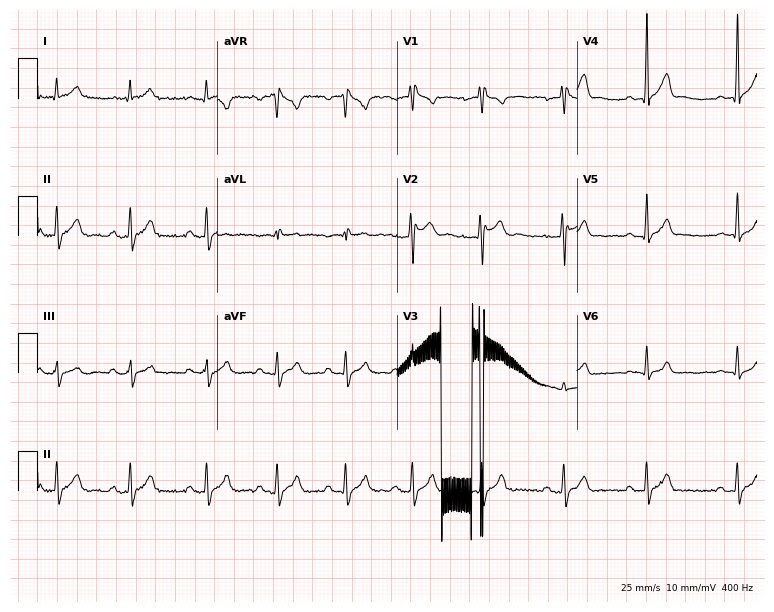
Standard 12-lead ECG recorded from a male patient, 20 years old. None of these six findings is recorded: first-degree AV block, right bundle branch block (RBBB), left bundle branch block (LBBB), sinus bradycardia, atrial fibrillation (AF), sinus tachycardia. Other findings, if any, are not listed.